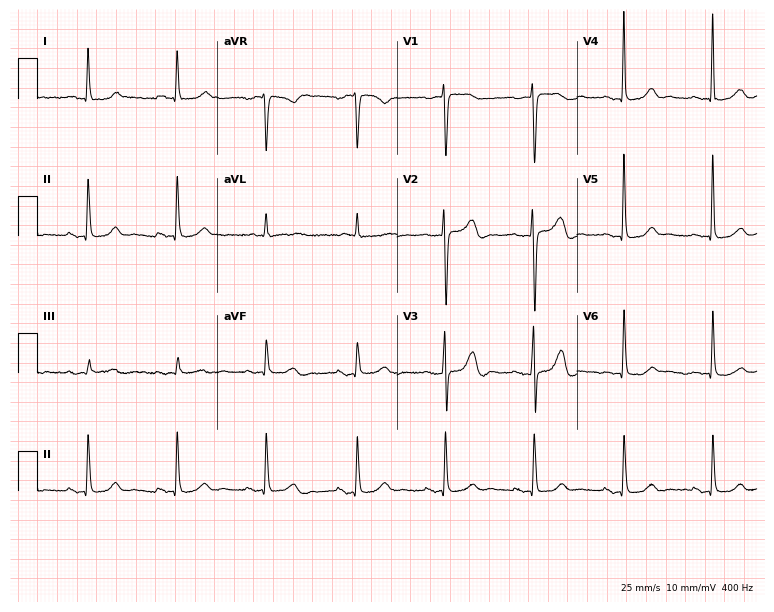
ECG — a 79-year-old female. Labelled as a normal ECG.